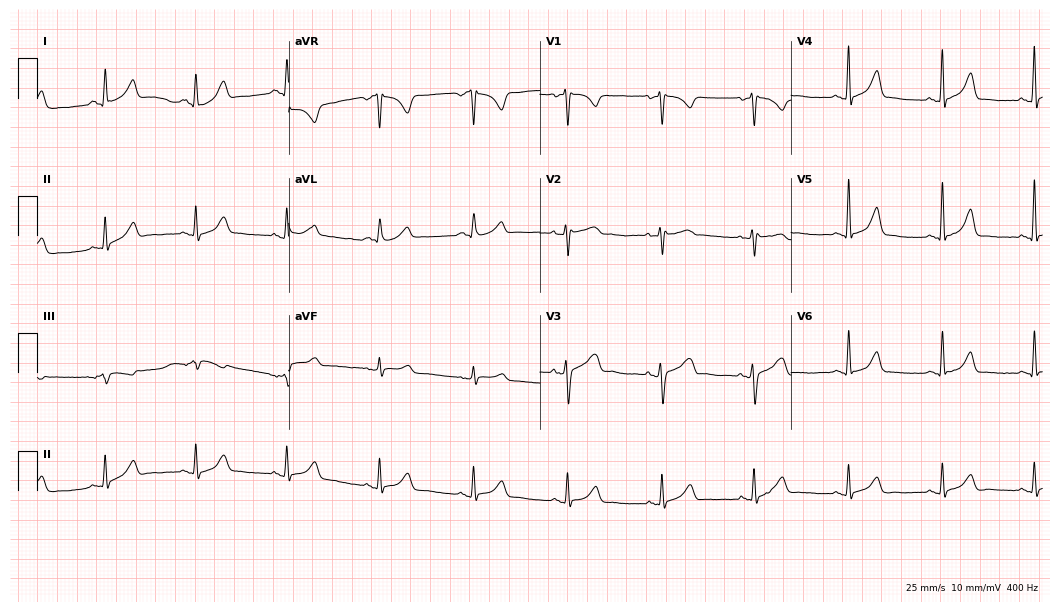
Standard 12-lead ECG recorded from a female patient, 57 years old. Read as a normal ECG.